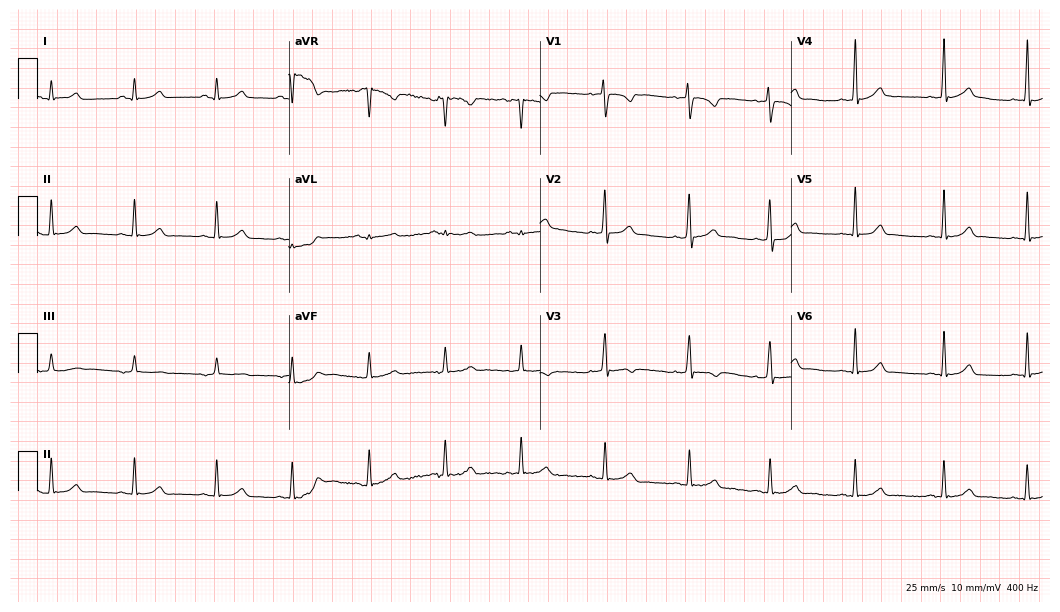
12-lead ECG from a 20-year-old female (10.2-second recording at 400 Hz). Recorded interpretation: within normal limits.